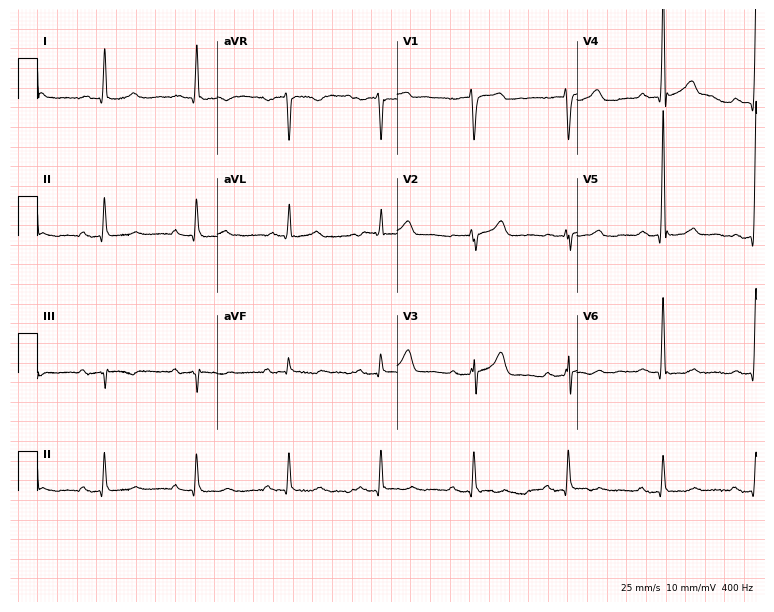
Standard 12-lead ECG recorded from a 77-year-old male patient (7.3-second recording at 400 Hz). None of these six findings is recorded: first-degree AV block, right bundle branch block (RBBB), left bundle branch block (LBBB), sinus bradycardia, atrial fibrillation (AF), sinus tachycardia. Other findings, if any, are not listed.